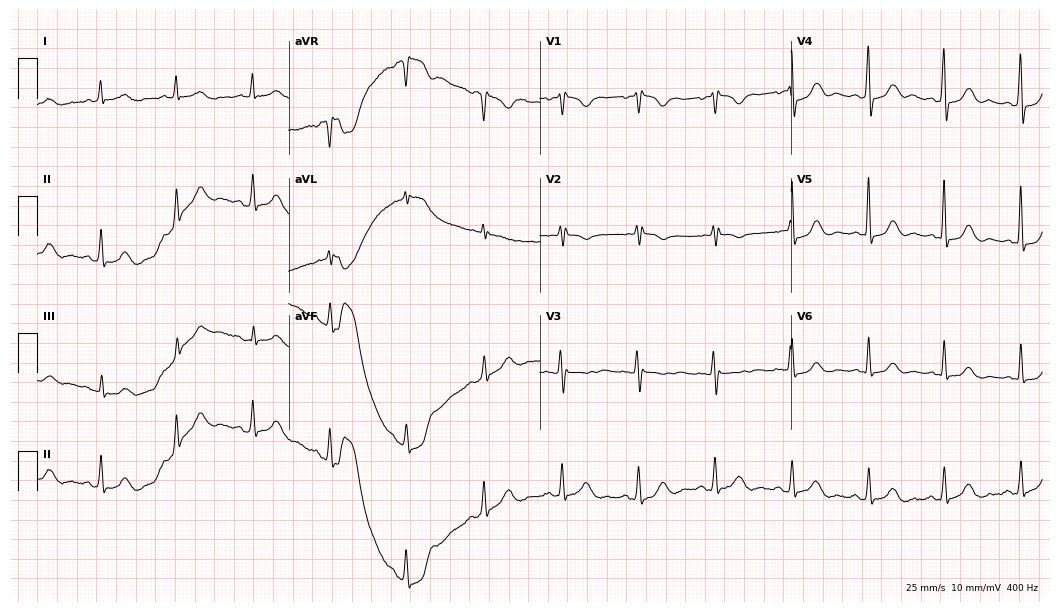
Electrocardiogram (10.2-second recording at 400 Hz), a 50-year-old woman. Of the six screened findings (first-degree AV block, right bundle branch block, left bundle branch block, sinus bradycardia, atrial fibrillation, sinus tachycardia), none is recorded. Other findings, if any, are not listed.